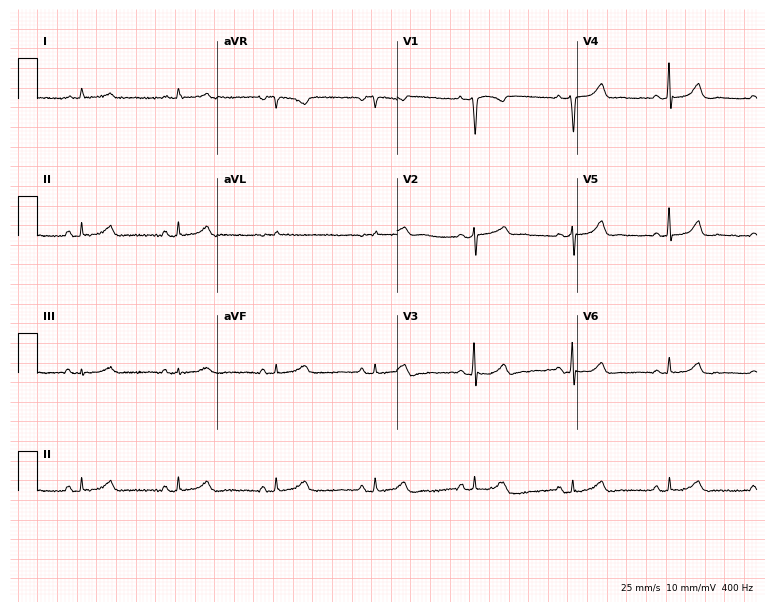
12-lead ECG from a 56-year-old woman. Recorded interpretation: within normal limits.